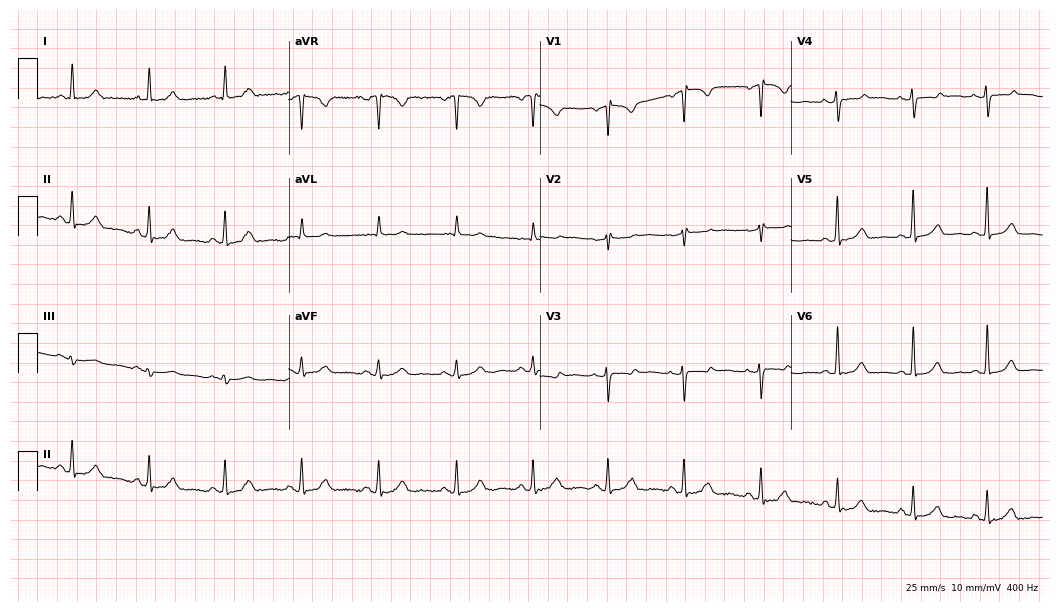
12-lead ECG from a 60-year-old female. Labelled as a normal ECG.